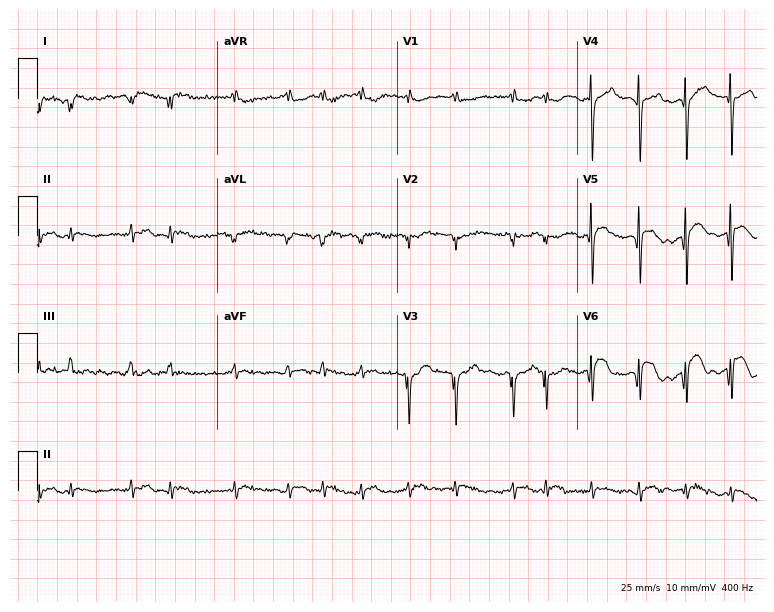
12-lead ECG from a man, 77 years old (7.3-second recording at 400 Hz). No first-degree AV block, right bundle branch block, left bundle branch block, sinus bradycardia, atrial fibrillation or sinus tachycardia recorded for this tracing. Findings outside these six are not listed.